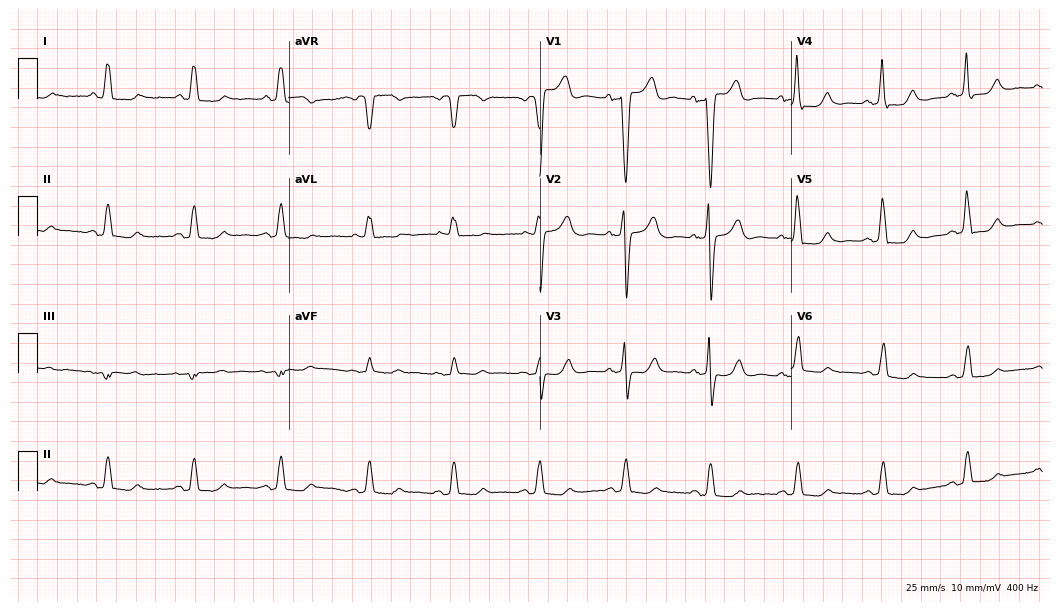
Resting 12-lead electrocardiogram (10.2-second recording at 400 Hz). Patient: a female, 81 years old. None of these six findings is recorded: first-degree AV block, right bundle branch block (RBBB), left bundle branch block (LBBB), sinus bradycardia, atrial fibrillation (AF), sinus tachycardia.